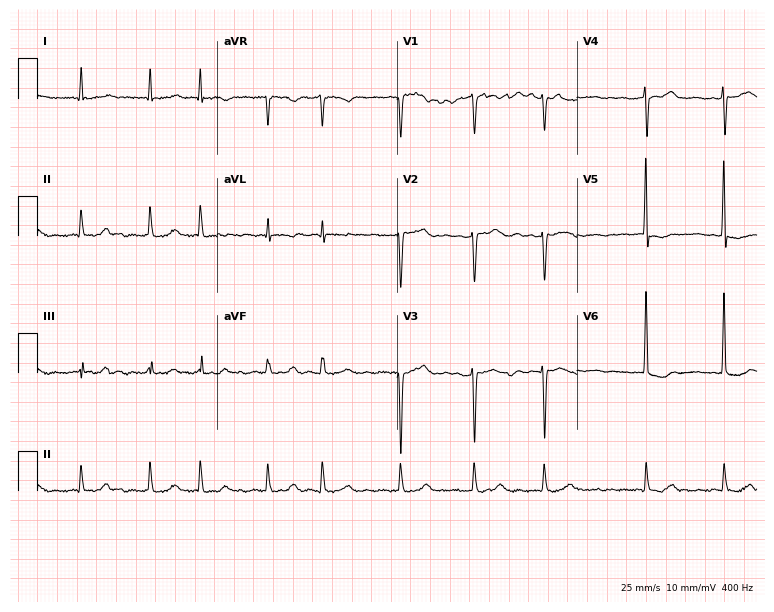
Electrocardiogram (7.3-second recording at 400 Hz), a 74-year-old female patient. Interpretation includes atrial fibrillation (AF).